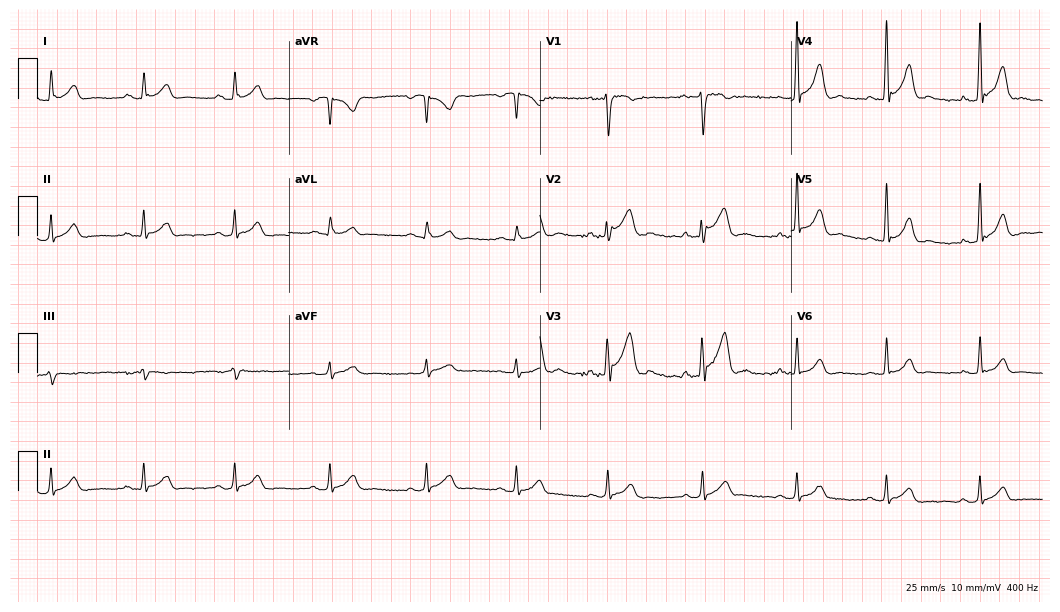
ECG (10.2-second recording at 400 Hz) — a man, 27 years old. Screened for six findings — first-degree AV block, right bundle branch block, left bundle branch block, sinus bradycardia, atrial fibrillation, sinus tachycardia — none is recorded.